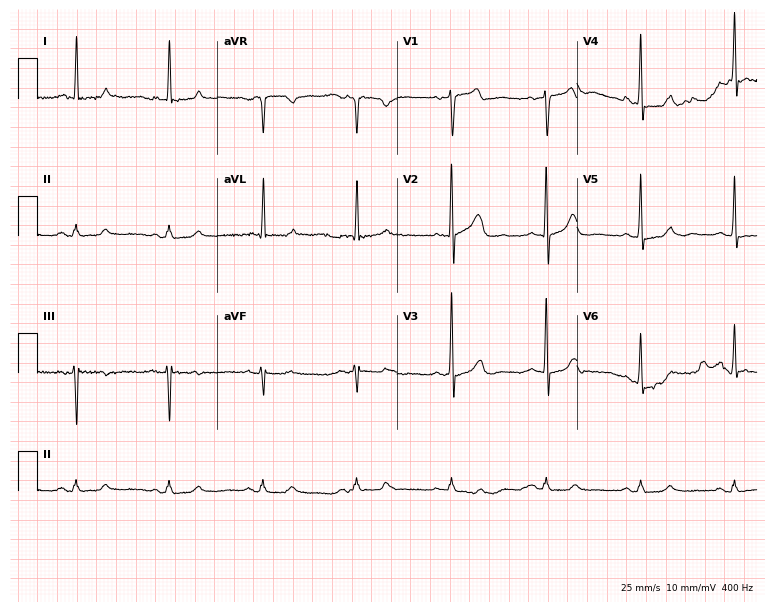
ECG — a male, 74 years old. Screened for six findings — first-degree AV block, right bundle branch block, left bundle branch block, sinus bradycardia, atrial fibrillation, sinus tachycardia — none is recorded.